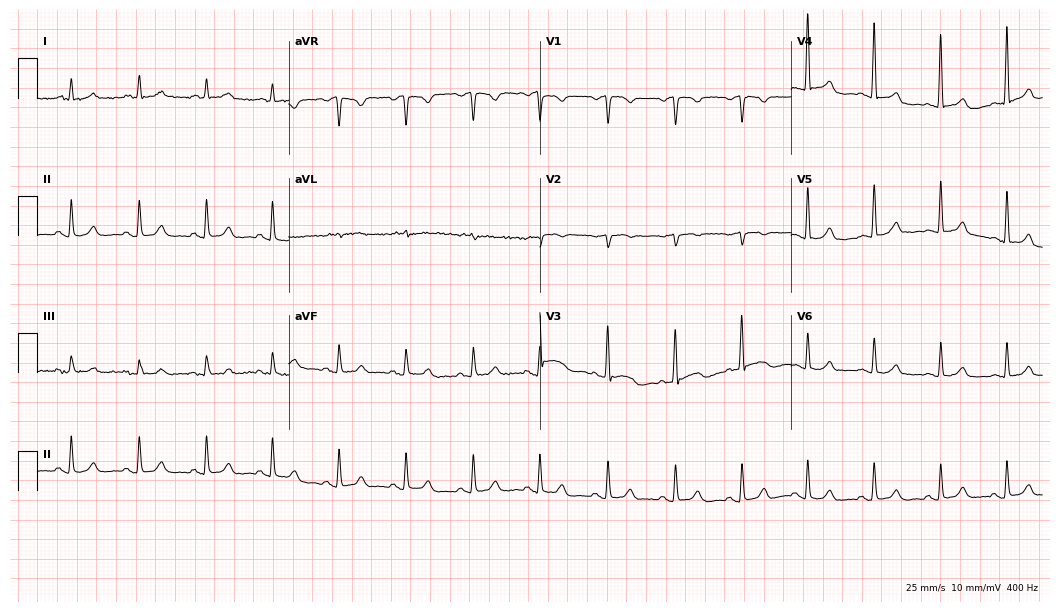
12-lead ECG from a 65-year-old man. Labelled as a normal ECG.